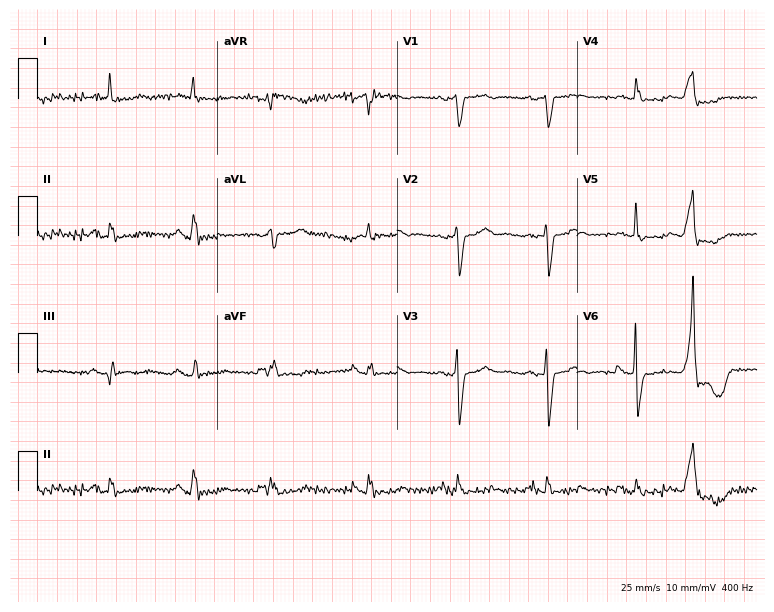
Standard 12-lead ECG recorded from a 73-year-old woman (7.3-second recording at 400 Hz). None of these six findings is recorded: first-degree AV block, right bundle branch block (RBBB), left bundle branch block (LBBB), sinus bradycardia, atrial fibrillation (AF), sinus tachycardia.